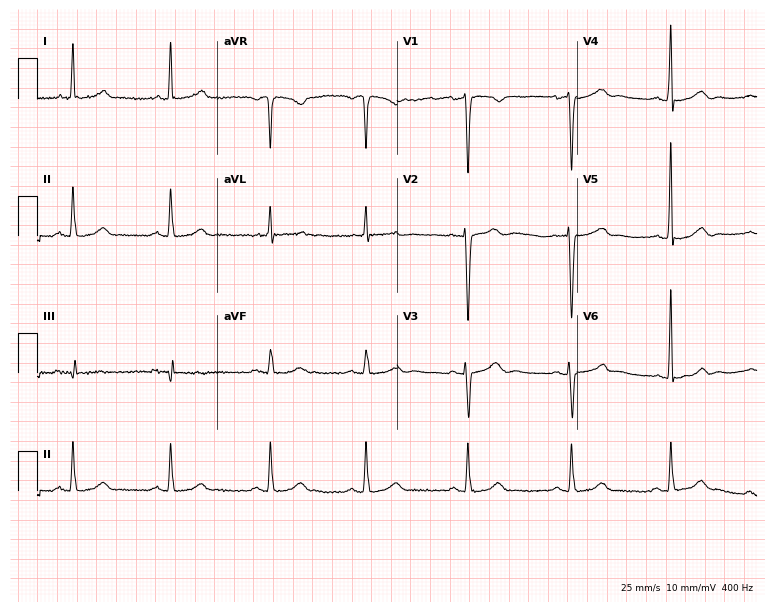
Electrocardiogram (7.3-second recording at 400 Hz), a 47-year-old female. Of the six screened findings (first-degree AV block, right bundle branch block, left bundle branch block, sinus bradycardia, atrial fibrillation, sinus tachycardia), none is recorded.